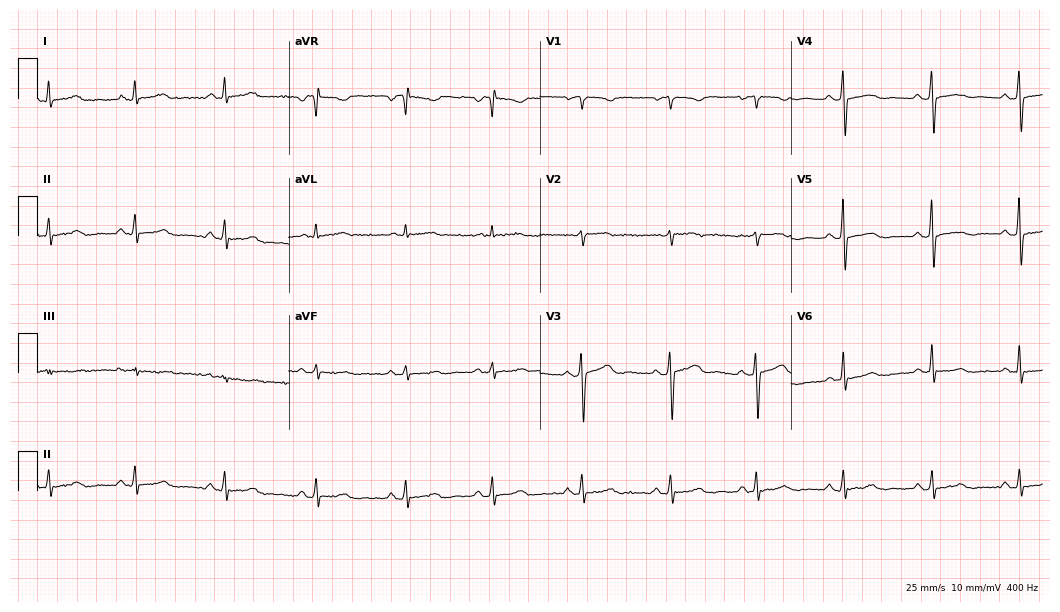
Electrocardiogram, a 48-year-old female. Overall reading on record: normal ECG.